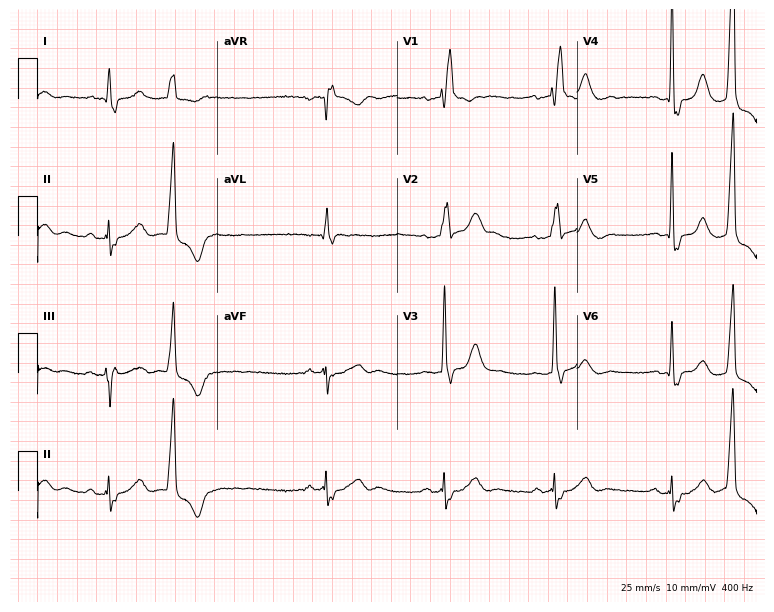
Standard 12-lead ECG recorded from a 78-year-old male patient. The tracing shows right bundle branch block.